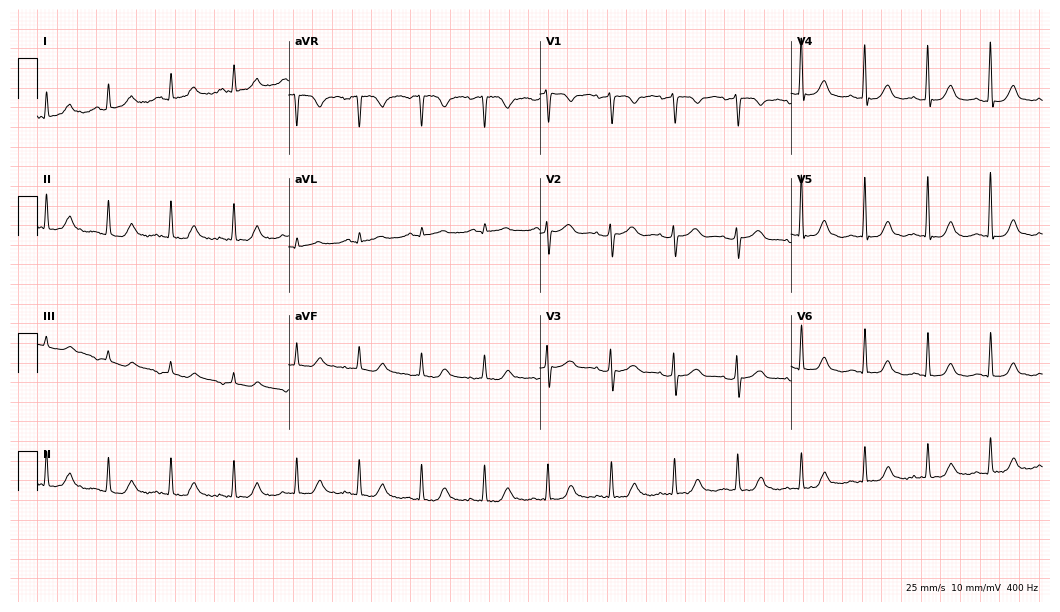
Standard 12-lead ECG recorded from a female, 53 years old. Read as a normal ECG.